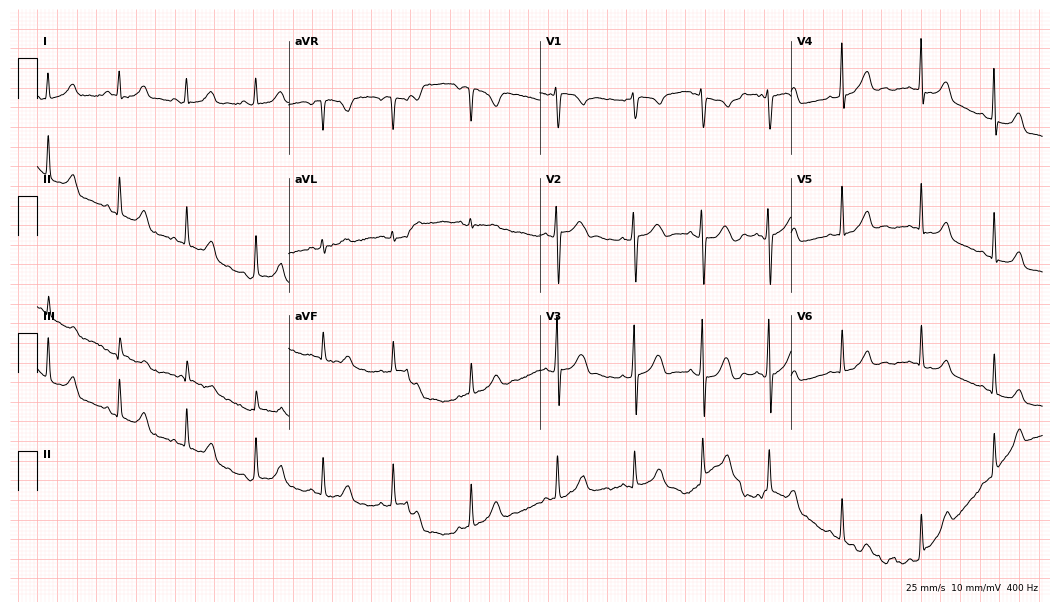
Standard 12-lead ECG recorded from a woman, 23 years old. Read as a normal ECG.